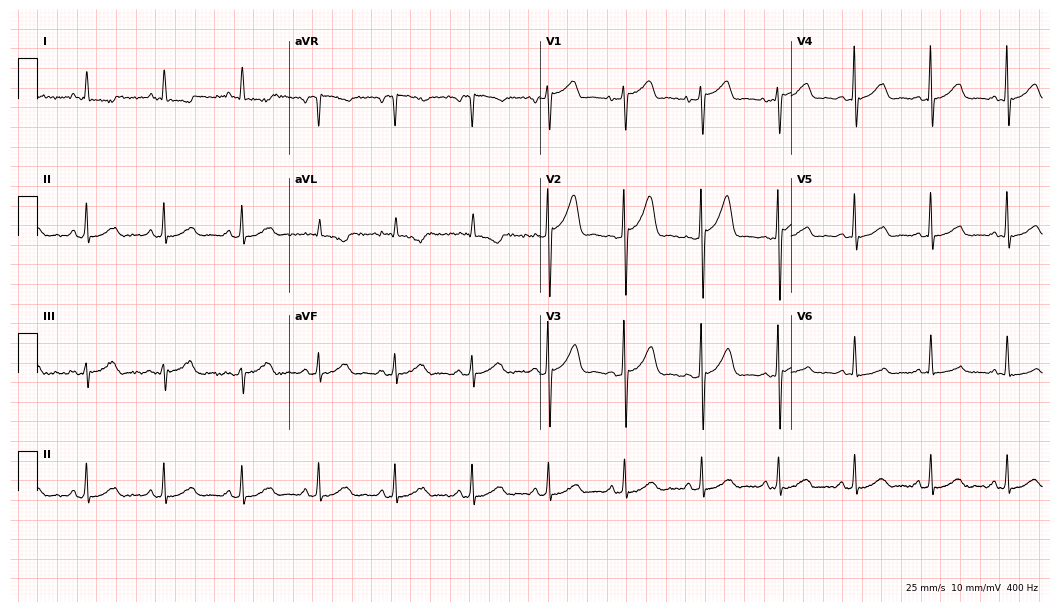
Electrocardiogram (10.2-second recording at 400 Hz), a female patient, 56 years old. Of the six screened findings (first-degree AV block, right bundle branch block, left bundle branch block, sinus bradycardia, atrial fibrillation, sinus tachycardia), none is recorded. Findings outside these six are not listed.